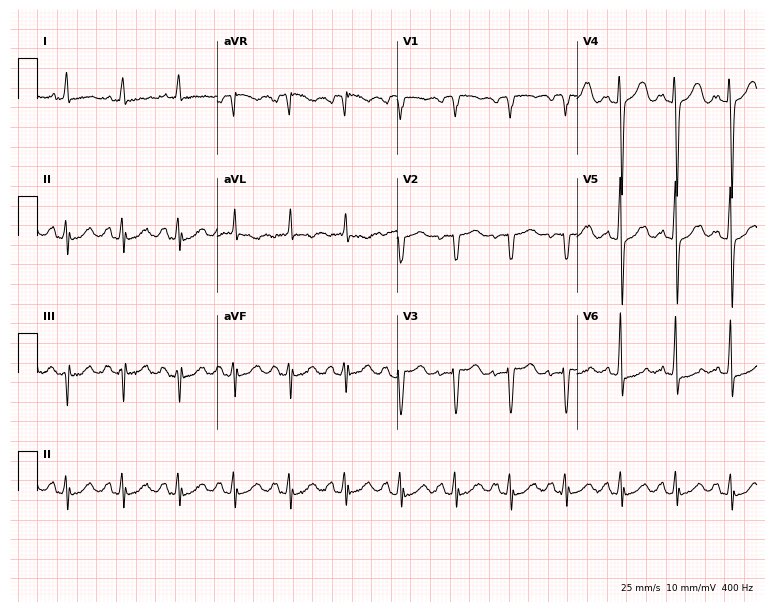
ECG (7.3-second recording at 400 Hz) — a female patient, 78 years old. Screened for six findings — first-degree AV block, right bundle branch block, left bundle branch block, sinus bradycardia, atrial fibrillation, sinus tachycardia — none is recorded.